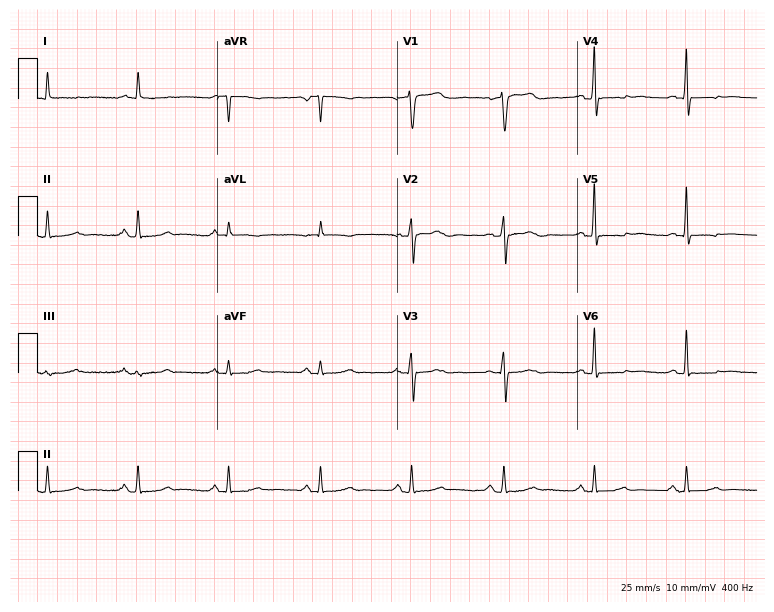
Resting 12-lead electrocardiogram. Patient: an 80-year-old female. None of these six findings is recorded: first-degree AV block, right bundle branch block (RBBB), left bundle branch block (LBBB), sinus bradycardia, atrial fibrillation (AF), sinus tachycardia.